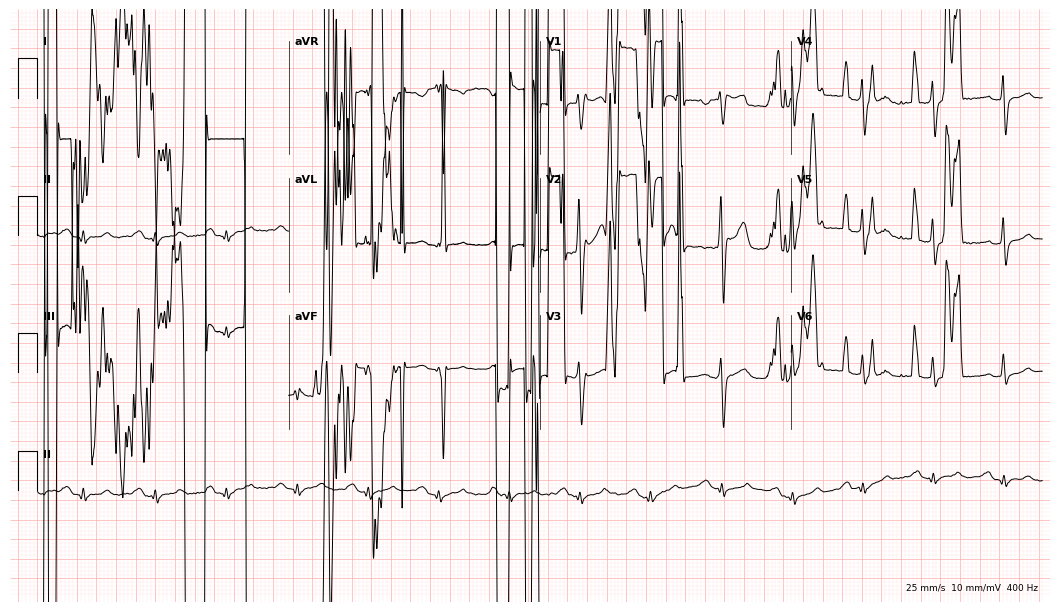
12-lead ECG from a 51-year-old male. Screened for six findings — first-degree AV block, right bundle branch block, left bundle branch block, sinus bradycardia, atrial fibrillation, sinus tachycardia — none is recorded.